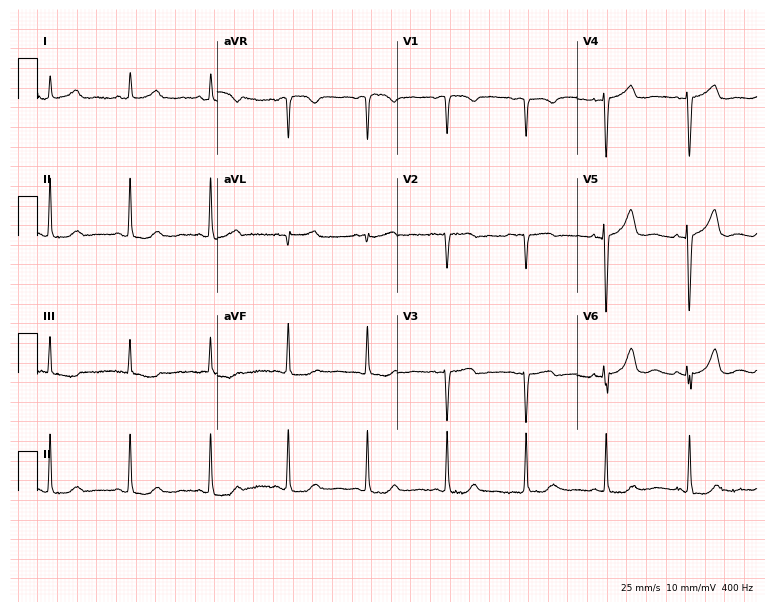
12-lead ECG (7.3-second recording at 400 Hz) from a female patient, 80 years old. Screened for six findings — first-degree AV block, right bundle branch block, left bundle branch block, sinus bradycardia, atrial fibrillation, sinus tachycardia — none is recorded.